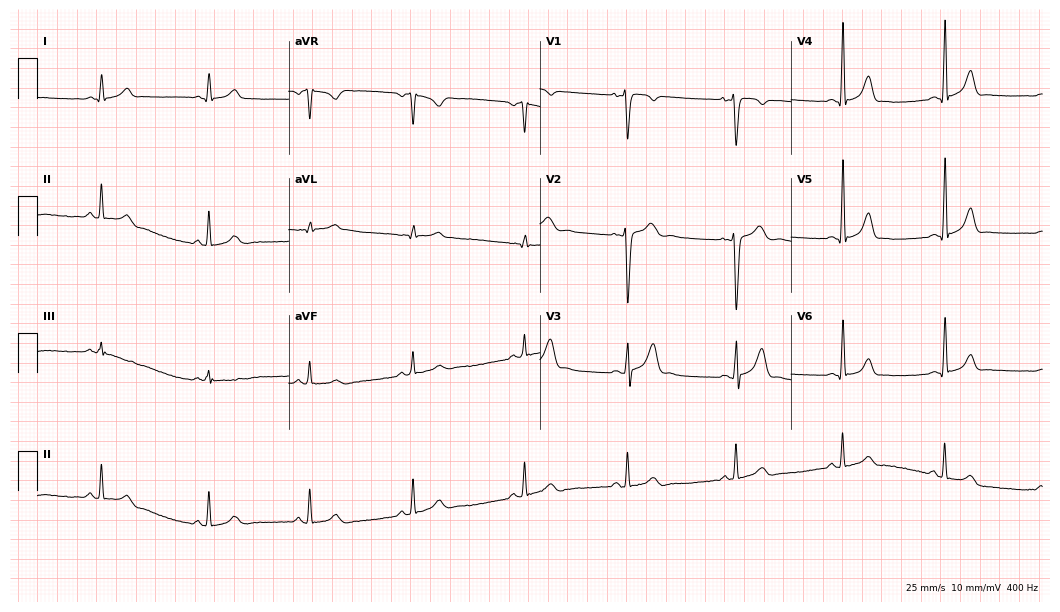
ECG — a 21-year-old man. Labelled as a normal ECG.